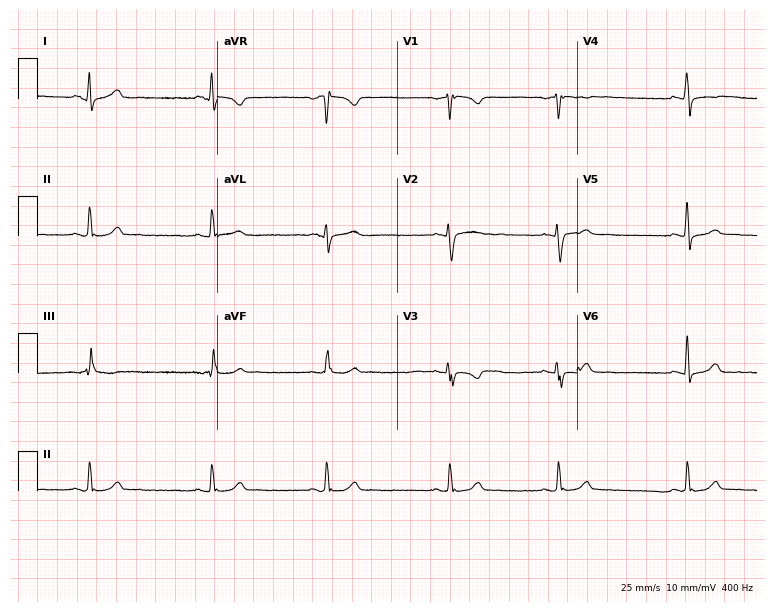
Standard 12-lead ECG recorded from a 21-year-old woman. Read as a normal ECG.